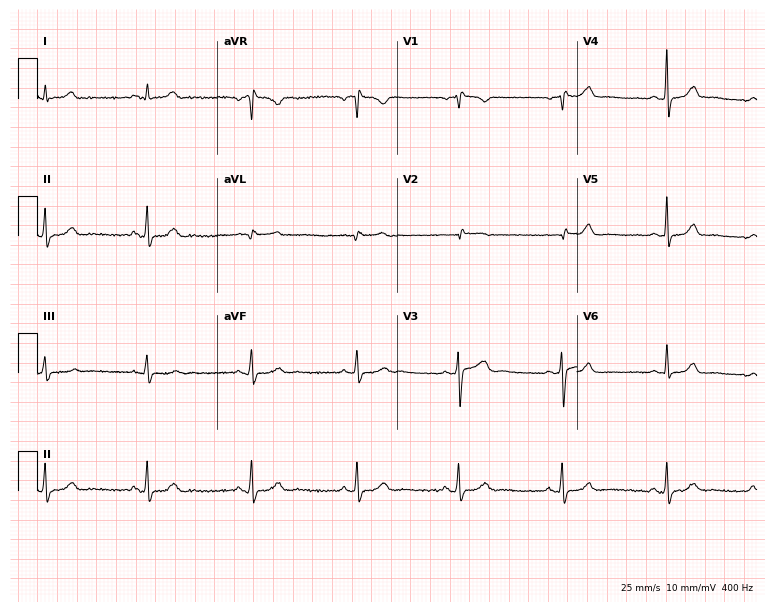
12-lead ECG from a 43-year-old female patient (7.3-second recording at 400 Hz). No first-degree AV block, right bundle branch block, left bundle branch block, sinus bradycardia, atrial fibrillation or sinus tachycardia recorded for this tracing.